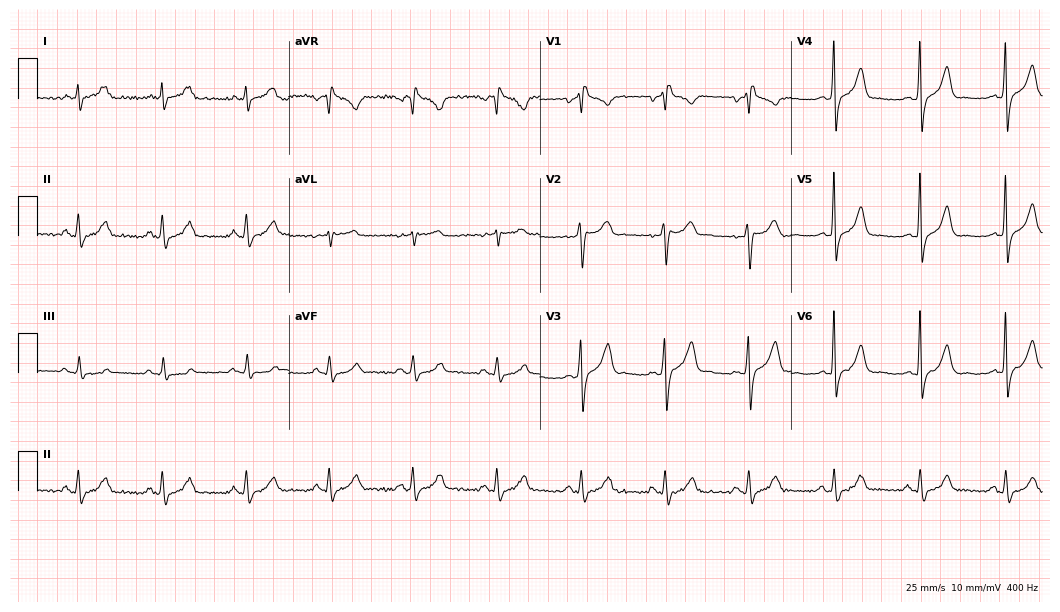
Standard 12-lead ECG recorded from a male patient, 39 years old. None of these six findings is recorded: first-degree AV block, right bundle branch block, left bundle branch block, sinus bradycardia, atrial fibrillation, sinus tachycardia.